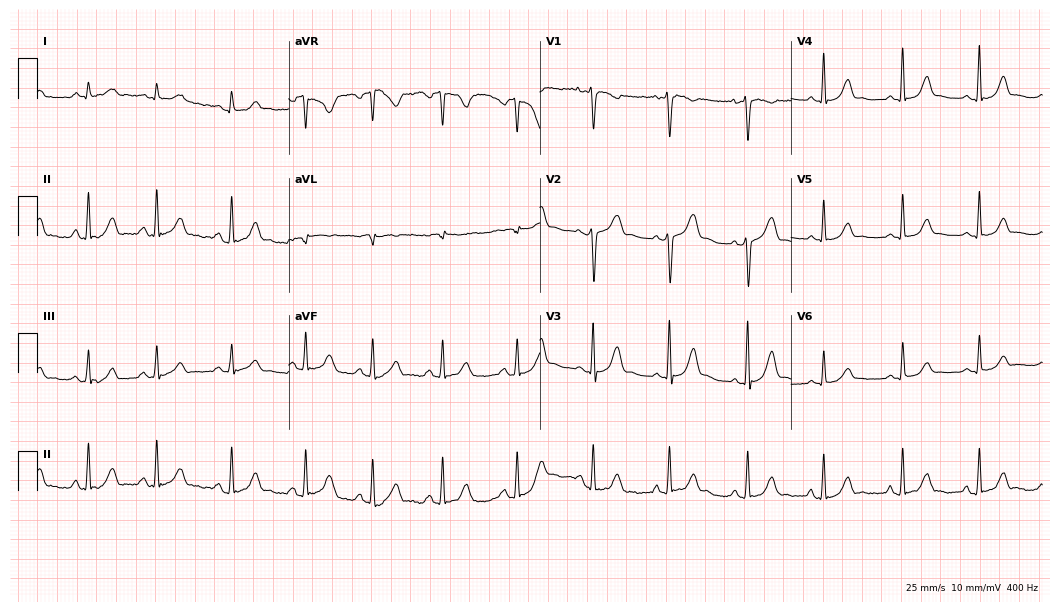
12-lead ECG (10.2-second recording at 400 Hz) from a woman, 22 years old. Labelled as a normal ECG.